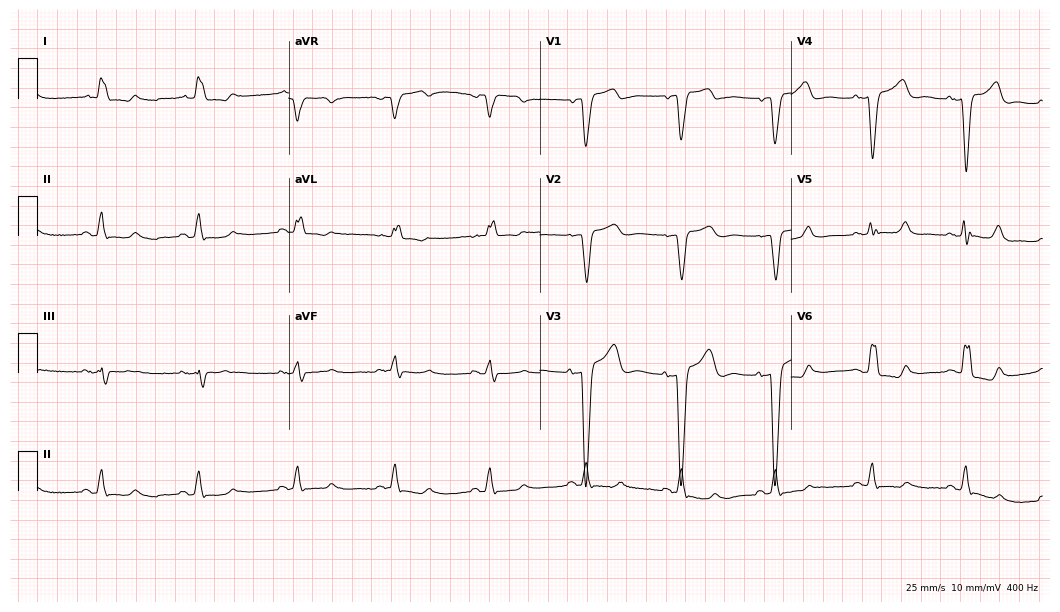
12-lead ECG from a 76-year-old woman (10.2-second recording at 400 Hz). Shows left bundle branch block.